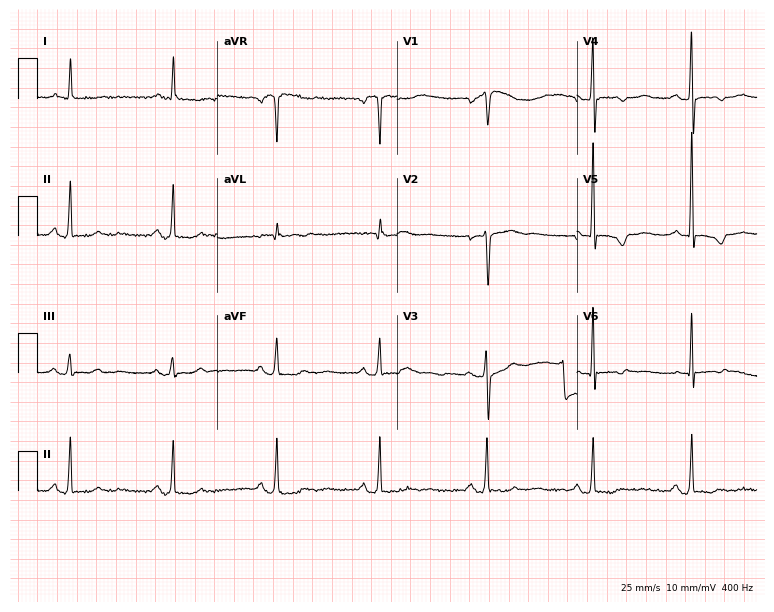
Resting 12-lead electrocardiogram. Patient: a 58-year-old female. None of these six findings is recorded: first-degree AV block, right bundle branch block, left bundle branch block, sinus bradycardia, atrial fibrillation, sinus tachycardia. Findings outside these six are not listed.